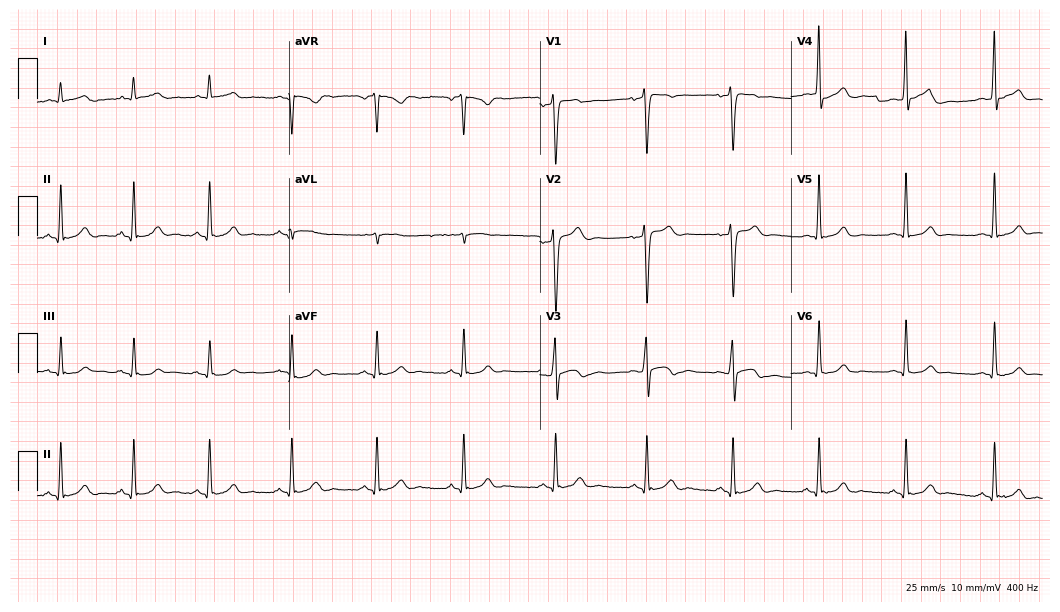
Electrocardiogram, a 20-year-old male patient. Overall reading on record: normal ECG.